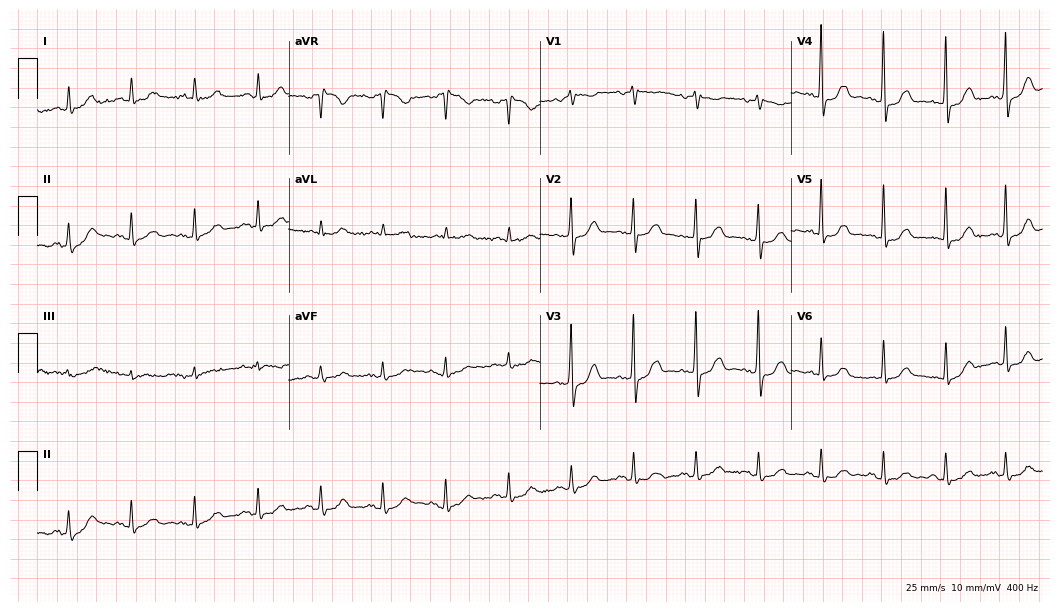
12-lead ECG (10.2-second recording at 400 Hz) from a woman, 81 years old. Labelled as a normal ECG.